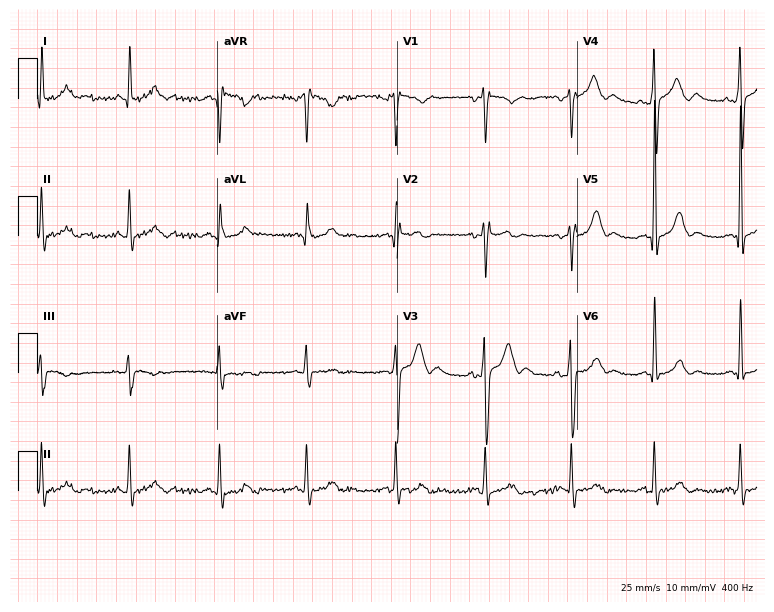
Standard 12-lead ECG recorded from a 62-year-old man (7.3-second recording at 400 Hz). None of these six findings is recorded: first-degree AV block, right bundle branch block, left bundle branch block, sinus bradycardia, atrial fibrillation, sinus tachycardia. Only these six findings were labelled.